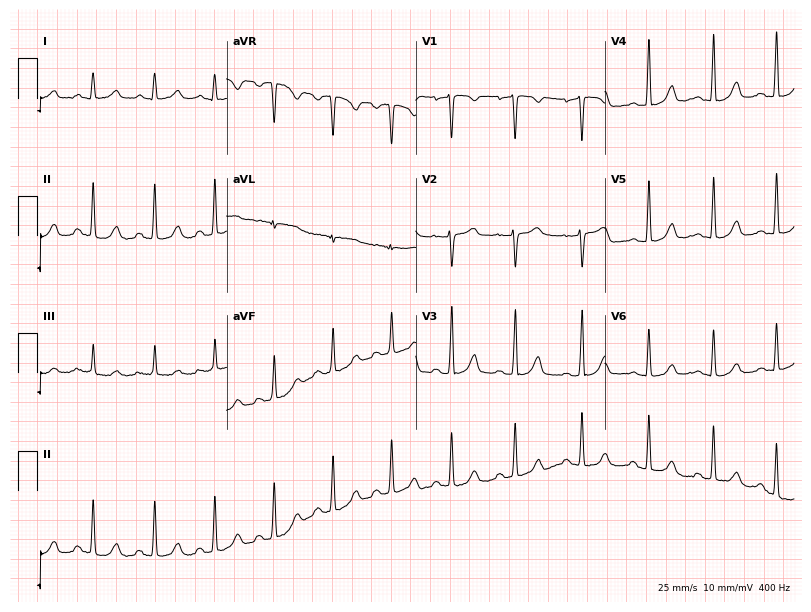
ECG — a female patient, 43 years old. Labelled as a normal ECG.